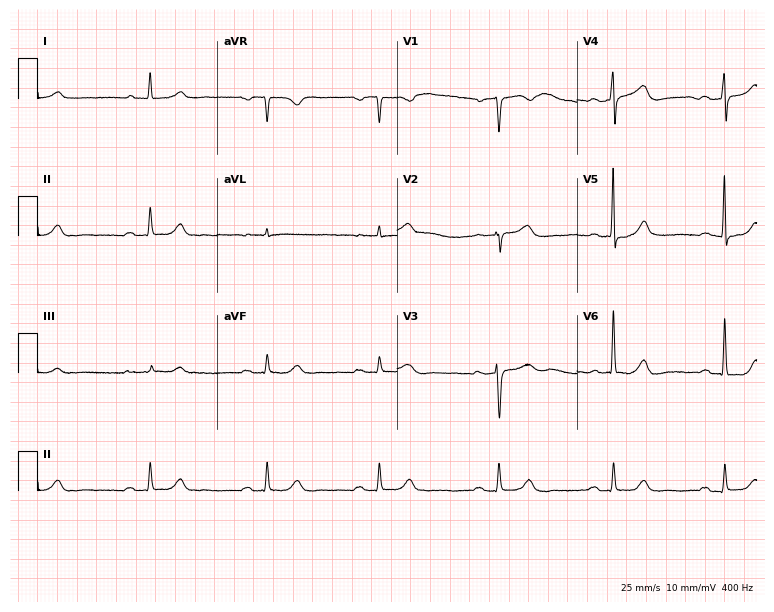
ECG — a male patient, 63 years old. Findings include sinus bradycardia (a sinus rate of 50 beats per minute or less).